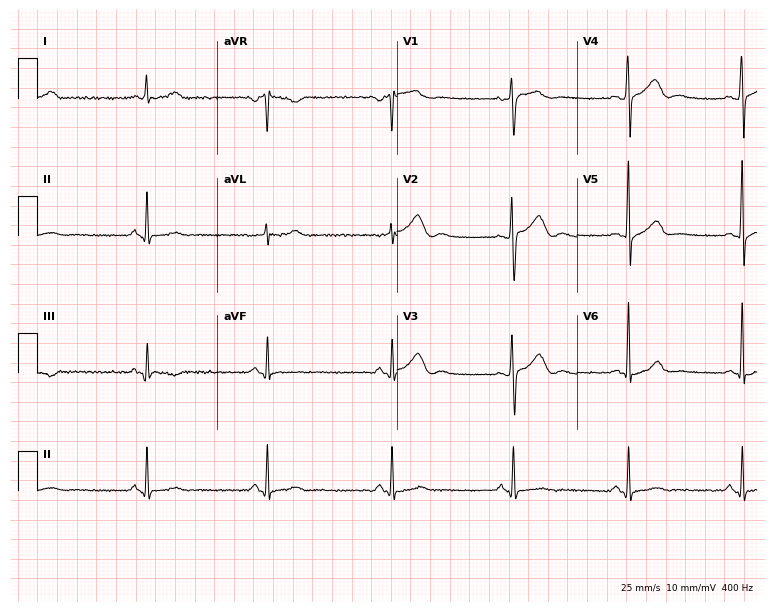
Resting 12-lead electrocardiogram (7.3-second recording at 400 Hz). Patient: a male, 35 years old. The tracing shows sinus bradycardia (a sinus rate of 50 beats per minute or less).